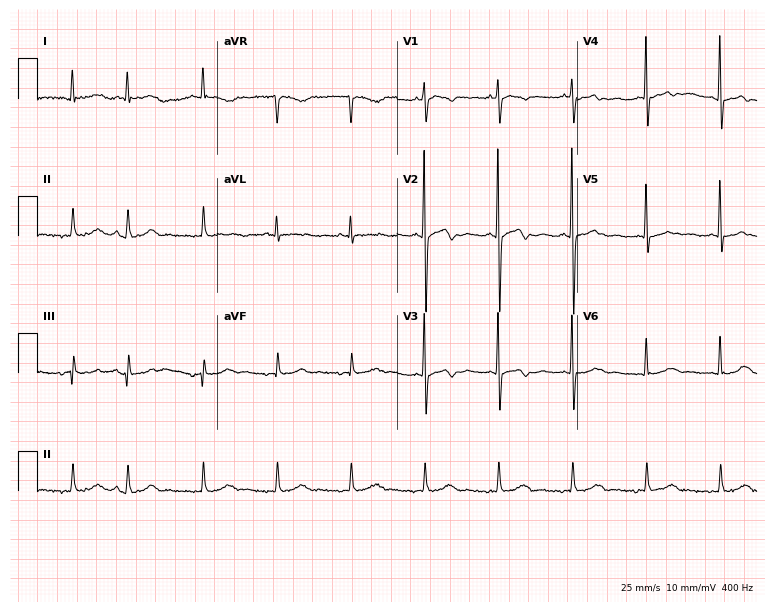
12-lead ECG from a female, 84 years old (7.3-second recording at 400 Hz). No first-degree AV block, right bundle branch block (RBBB), left bundle branch block (LBBB), sinus bradycardia, atrial fibrillation (AF) or sinus tachycardia recorded for this tracing. Findings outside these six are not listed.